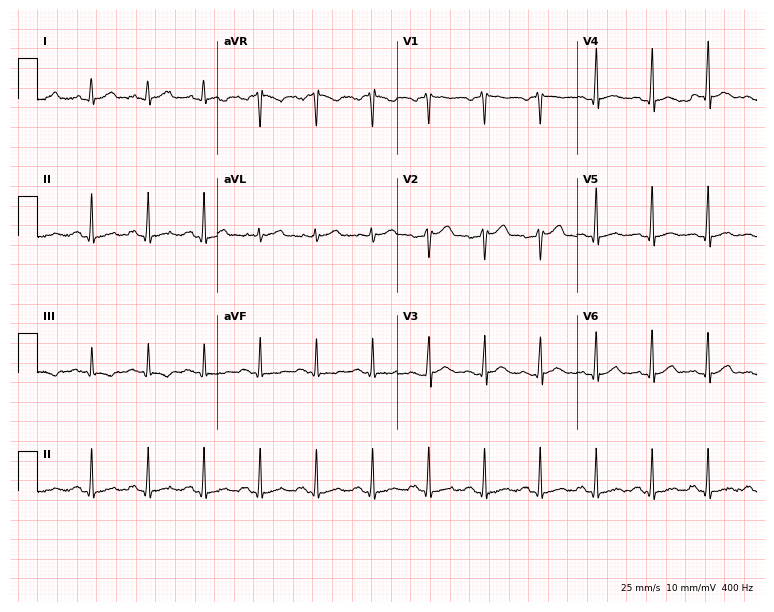
12-lead ECG (7.3-second recording at 400 Hz) from a 47-year-old male patient. Findings include sinus tachycardia (a sinus rate of 100 beats per minute or more).